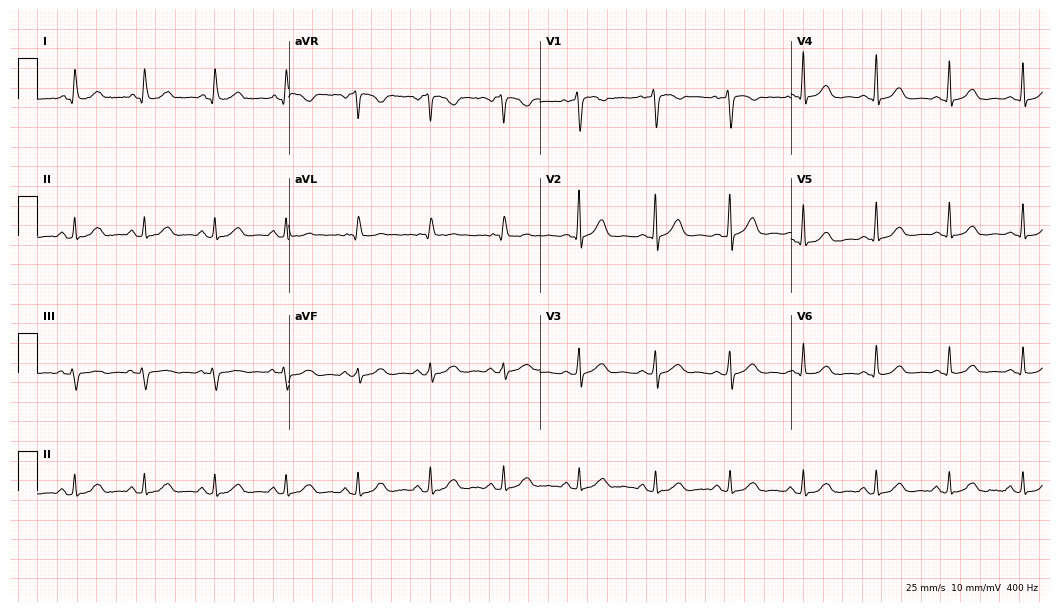
12-lead ECG (10.2-second recording at 400 Hz) from a female, 61 years old. Labelled as a normal ECG.